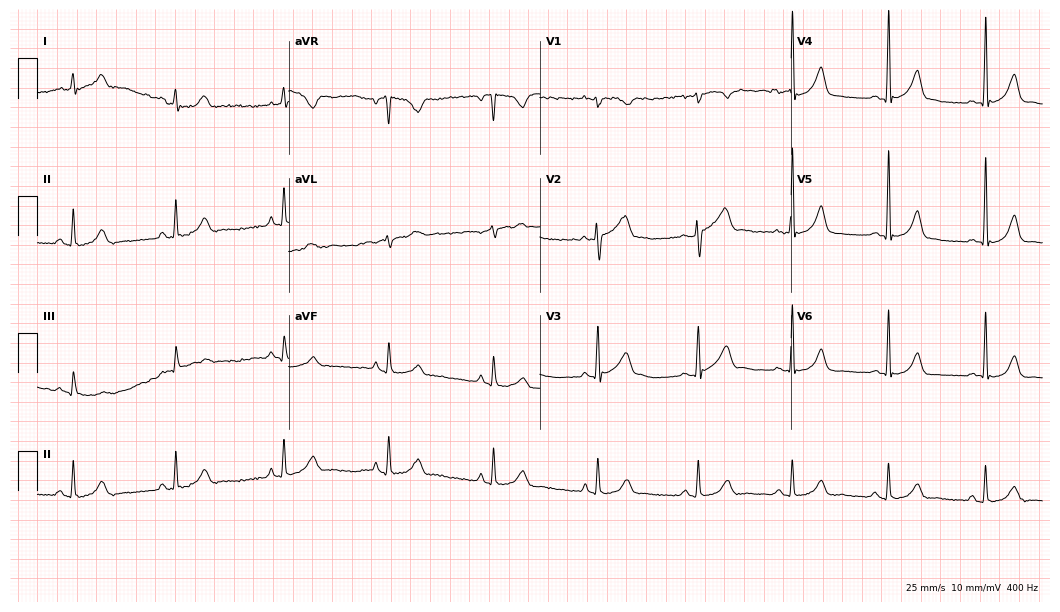
Electrocardiogram (10.2-second recording at 400 Hz), a man, 26 years old. Overall reading on record: normal ECG.